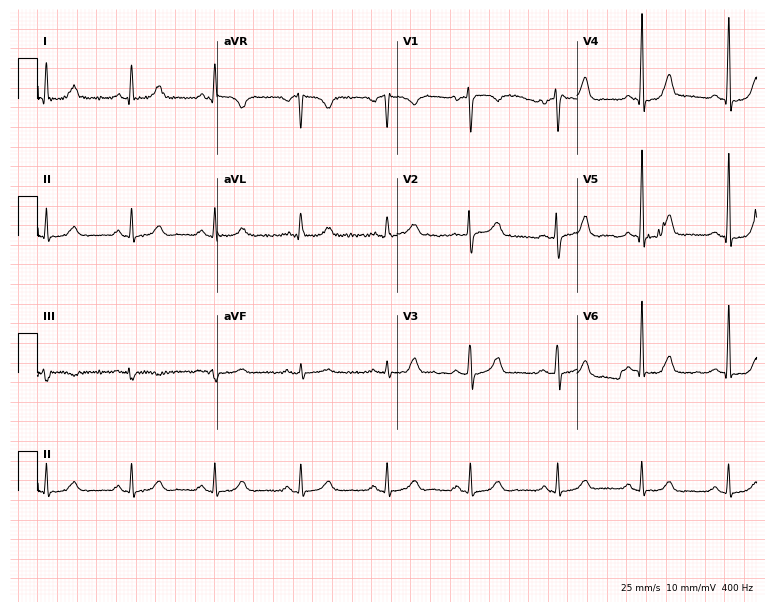
Electrocardiogram (7.3-second recording at 400 Hz), a female, 46 years old. Overall reading on record: normal ECG.